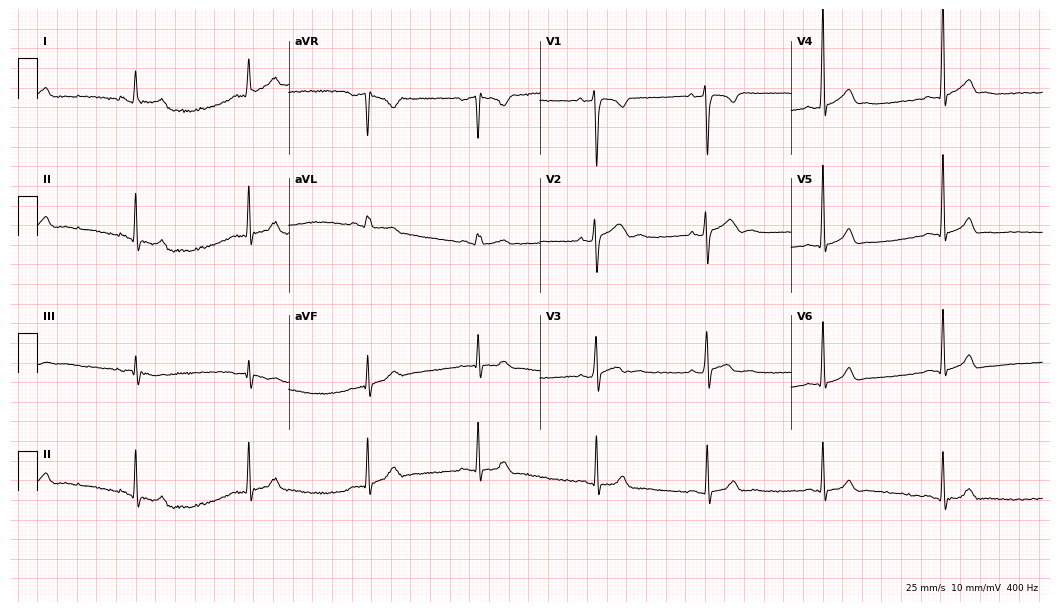
12-lead ECG from a 19-year-old woman. No first-degree AV block, right bundle branch block (RBBB), left bundle branch block (LBBB), sinus bradycardia, atrial fibrillation (AF) or sinus tachycardia recorded for this tracing. Only these six findings were labelled.